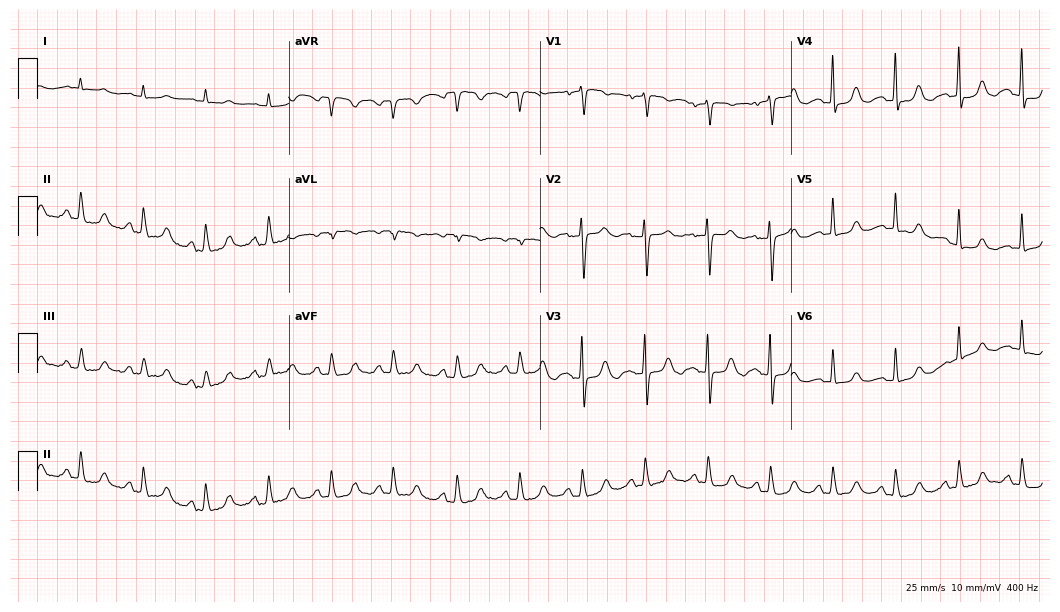
Electrocardiogram, a male patient, 71 years old. Of the six screened findings (first-degree AV block, right bundle branch block, left bundle branch block, sinus bradycardia, atrial fibrillation, sinus tachycardia), none is recorded.